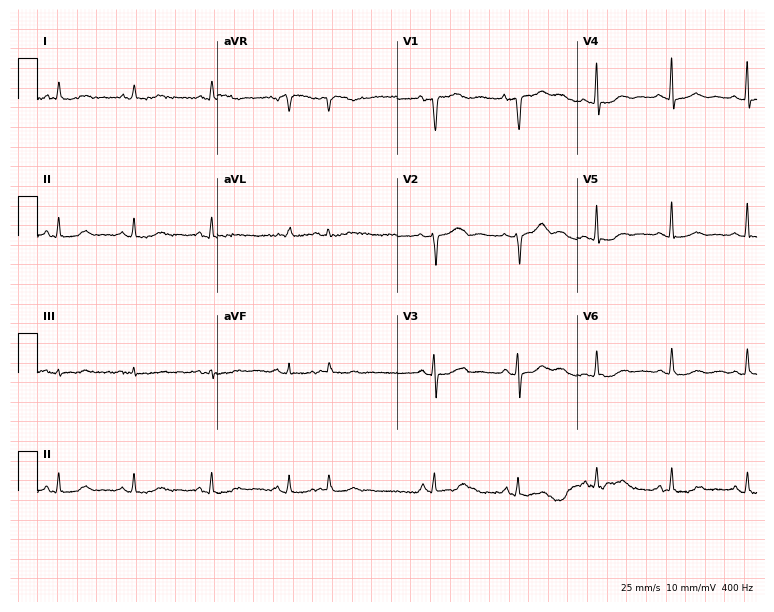
ECG — a woman, 83 years old. Labelled as a normal ECG.